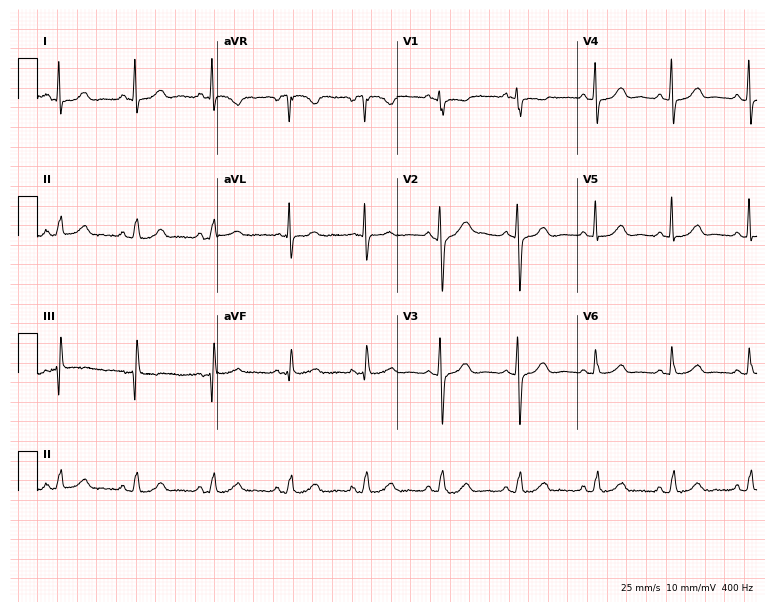
Electrocardiogram, a female patient, 61 years old. Overall reading on record: normal ECG.